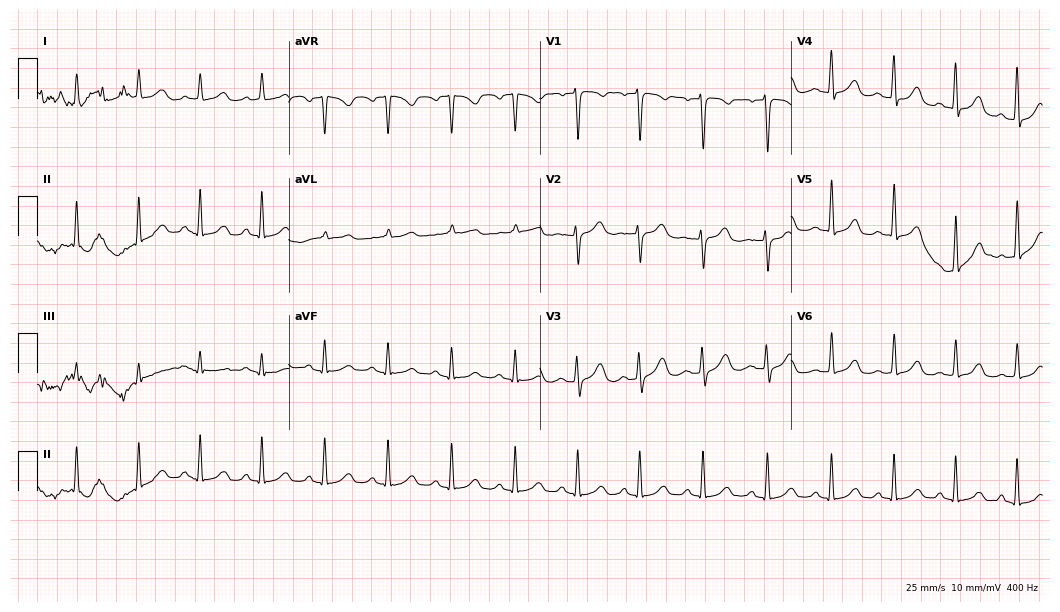
12-lead ECG from a woman, 46 years old. Screened for six findings — first-degree AV block, right bundle branch block, left bundle branch block, sinus bradycardia, atrial fibrillation, sinus tachycardia — none is recorded.